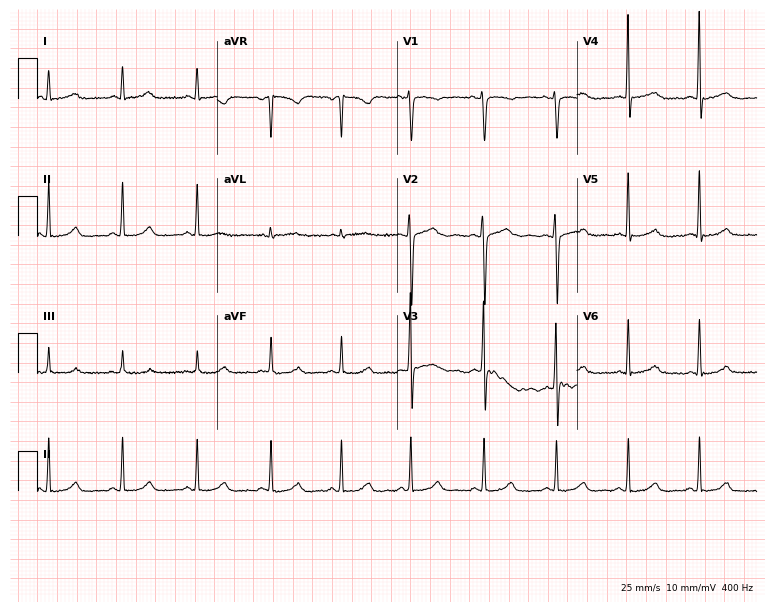
12-lead ECG from a 30-year-old woman. Labelled as a normal ECG.